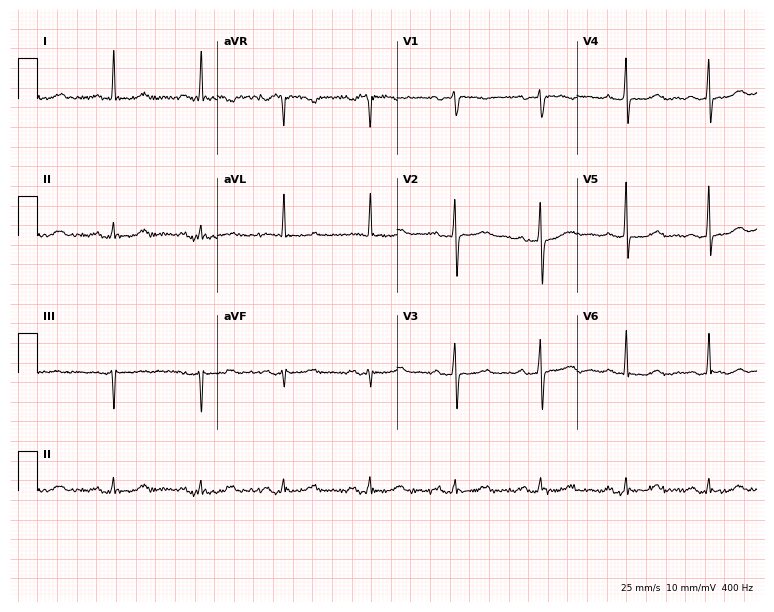
Standard 12-lead ECG recorded from a female, 62 years old. Read as a normal ECG.